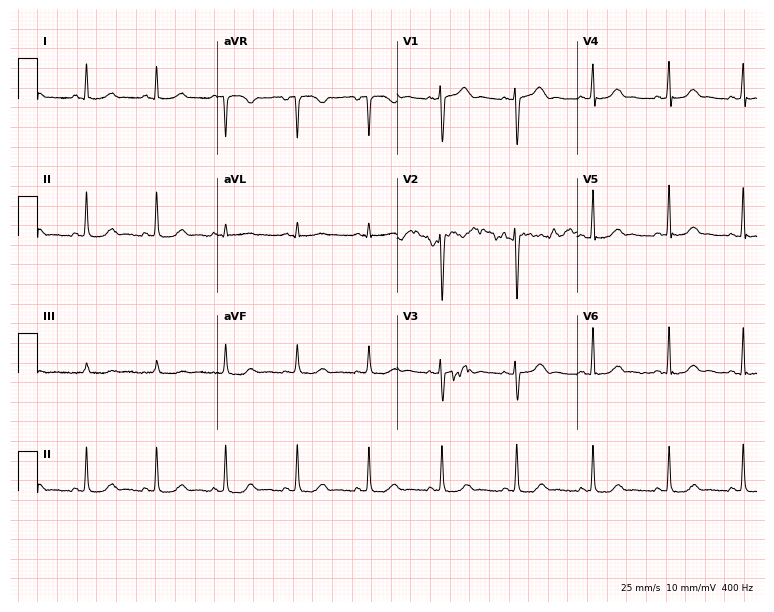
12-lead ECG from a 42-year-old female patient (7.3-second recording at 400 Hz). No first-degree AV block, right bundle branch block, left bundle branch block, sinus bradycardia, atrial fibrillation or sinus tachycardia recorded for this tracing.